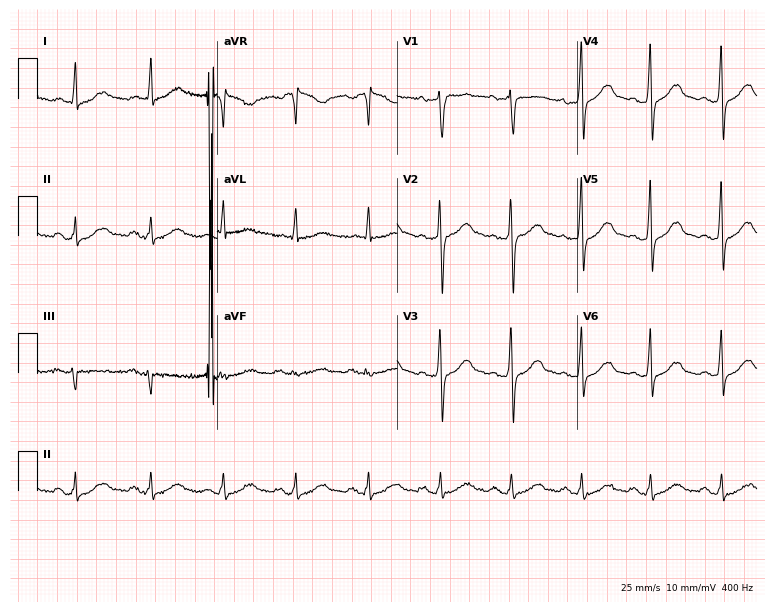
Resting 12-lead electrocardiogram (7.3-second recording at 400 Hz). Patient: a male, 53 years old. Read as a normal ECG.